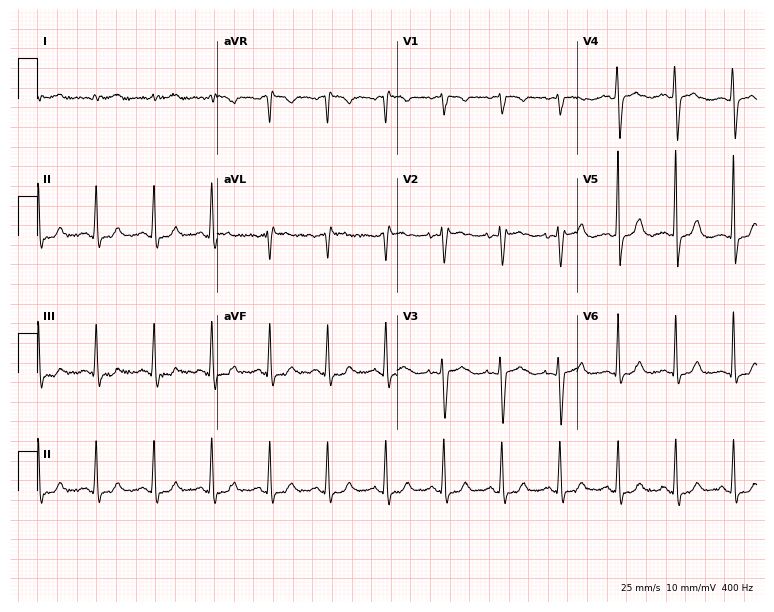
12-lead ECG from a female patient, 53 years old. No first-degree AV block, right bundle branch block, left bundle branch block, sinus bradycardia, atrial fibrillation or sinus tachycardia recorded for this tracing.